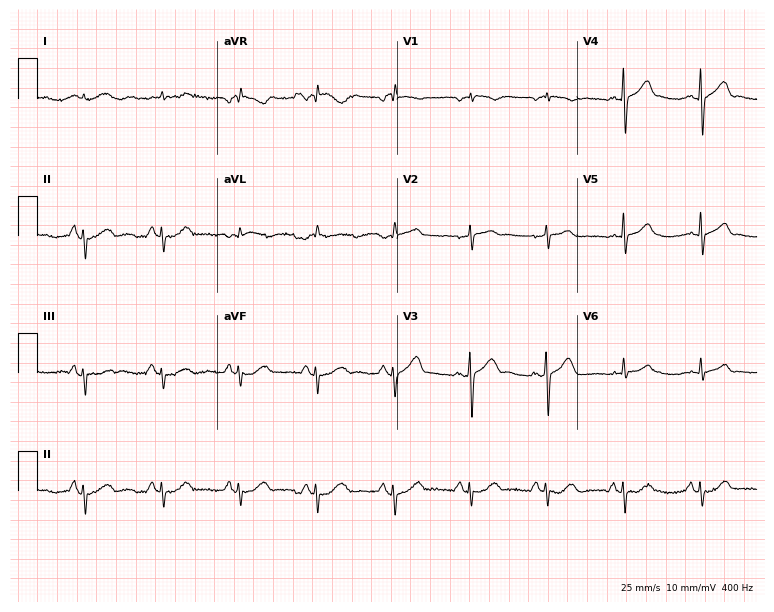
Resting 12-lead electrocardiogram (7.3-second recording at 400 Hz). Patient: an 80-year-old male. None of these six findings is recorded: first-degree AV block, right bundle branch block (RBBB), left bundle branch block (LBBB), sinus bradycardia, atrial fibrillation (AF), sinus tachycardia. Findings outside these six are not listed.